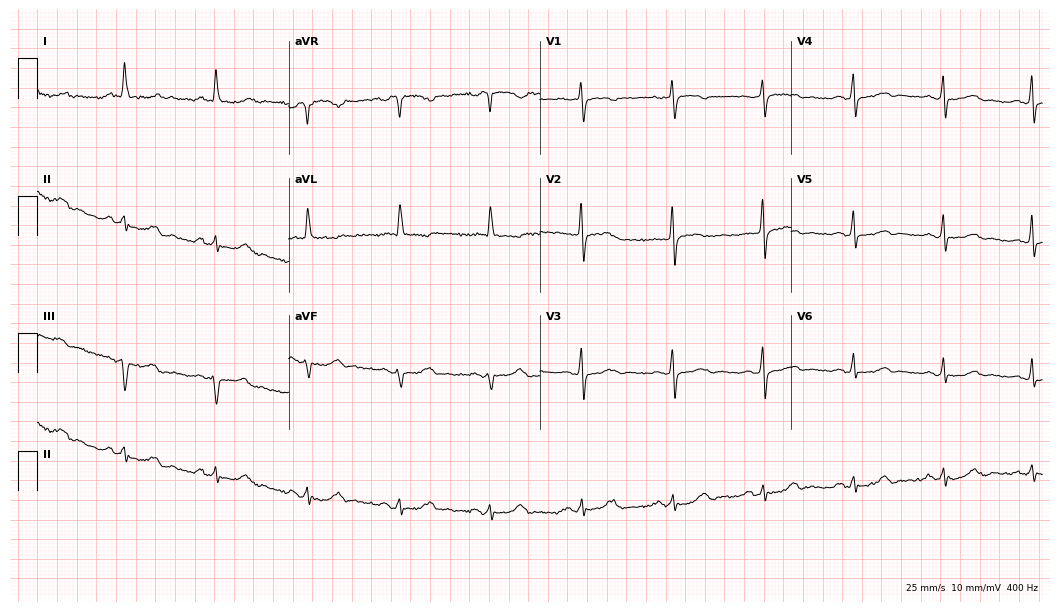
12-lead ECG from a male, 79 years old. Recorded interpretation: within normal limits.